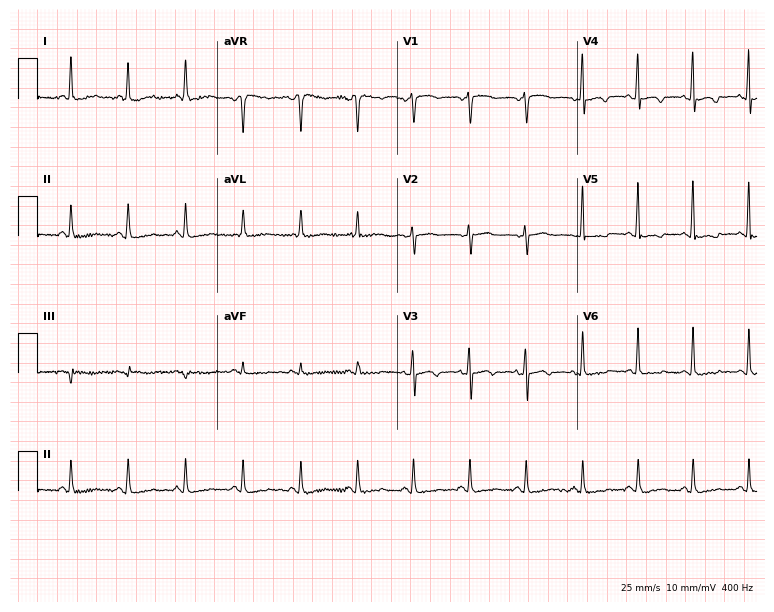
12-lead ECG from a 66-year-old female. Findings include sinus tachycardia (a sinus rate of 100 beats per minute or more).